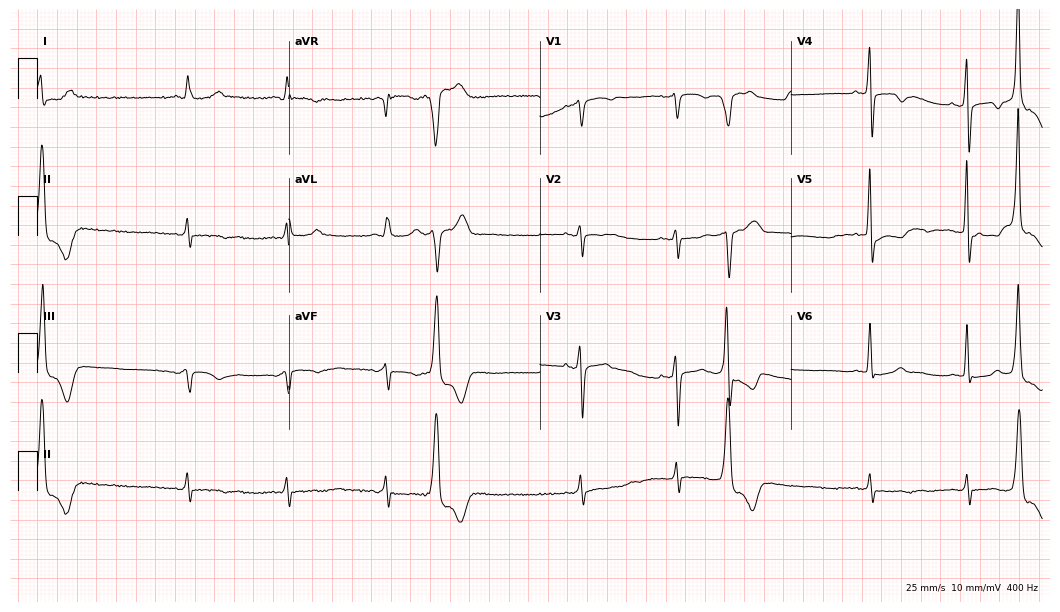
ECG — an 82-year-old male patient. Screened for six findings — first-degree AV block, right bundle branch block (RBBB), left bundle branch block (LBBB), sinus bradycardia, atrial fibrillation (AF), sinus tachycardia — none is recorded. Findings outside these six are not listed.